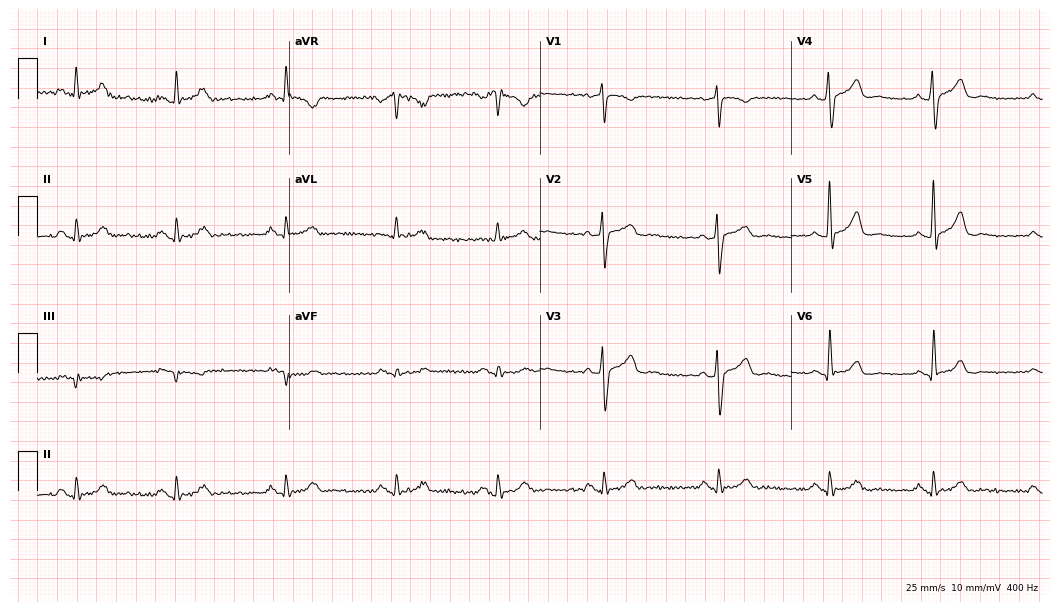
12-lead ECG from a man, 35 years old (10.2-second recording at 400 Hz). No first-degree AV block, right bundle branch block (RBBB), left bundle branch block (LBBB), sinus bradycardia, atrial fibrillation (AF) or sinus tachycardia recorded for this tracing. Only these six findings were labelled.